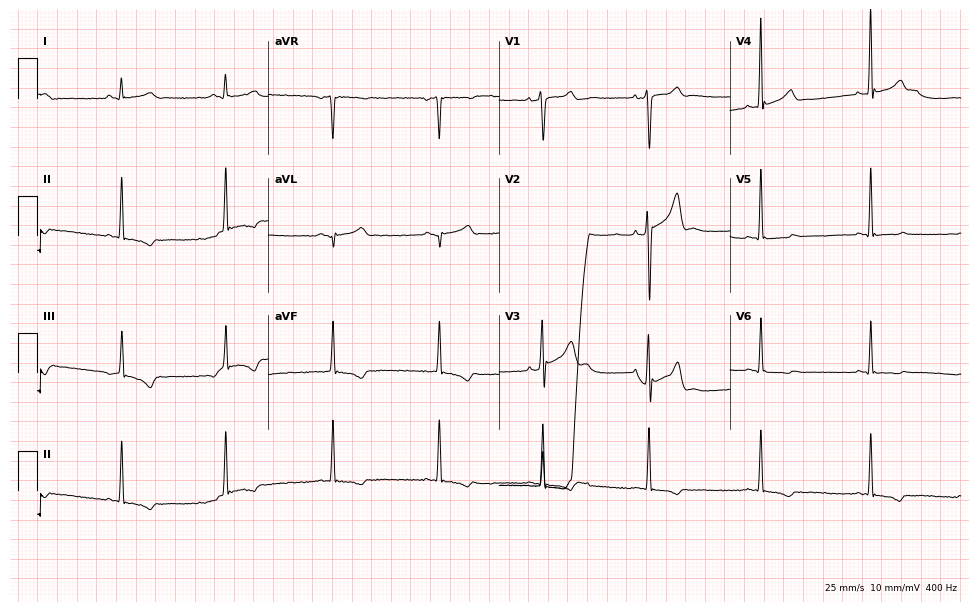
Standard 12-lead ECG recorded from a male patient, 27 years old (9.4-second recording at 400 Hz). Read as a normal ECG.